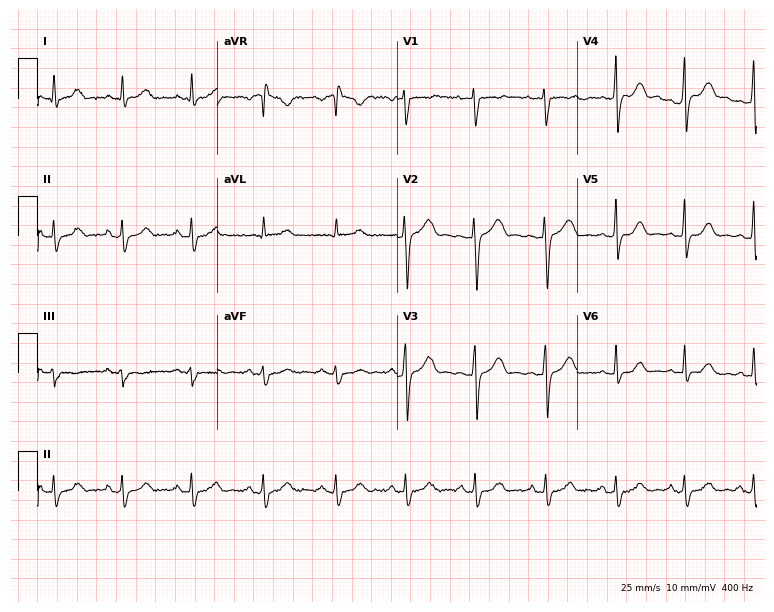
12-lead ECG from a female, 28 years old (7.3-second recording at 400 Hz). No first-degree AV block, right bundle branch block, left bundle branch block, sinus bradycardia, atrial fibrillation or sinus tachycardia recorded for this tracing.